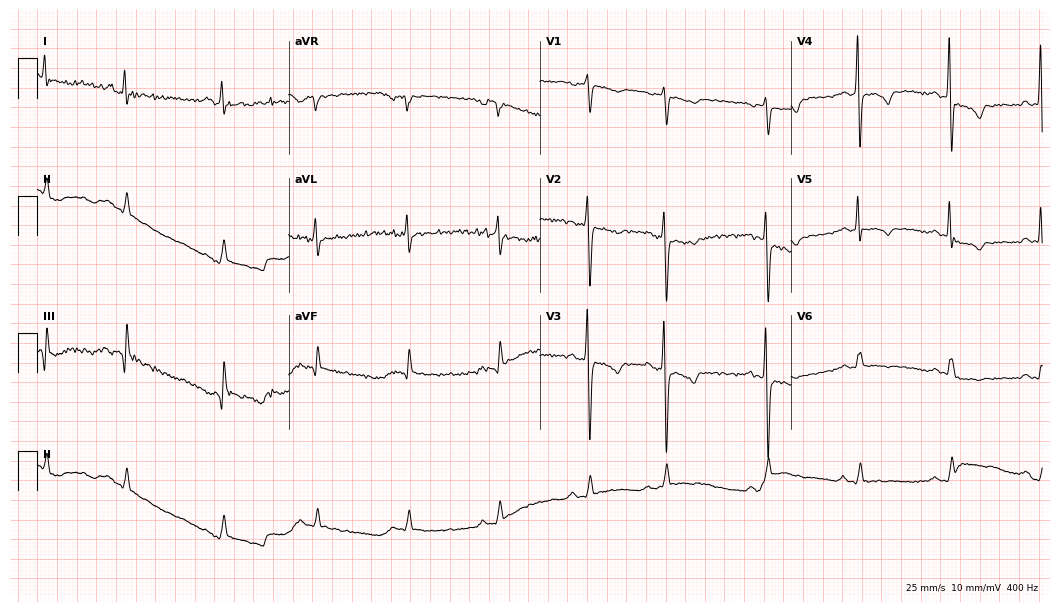
Electrocardiogram, a 66-year-old woman. Of the six screened findings (first-degree AV block, right bundle branch block (RBBB), left bundle branch block (LBBB), sinus bradycardia, atrial fibrillation (AF), sinus tachycardia), none is recorded. Other findings, if any, are not listed.